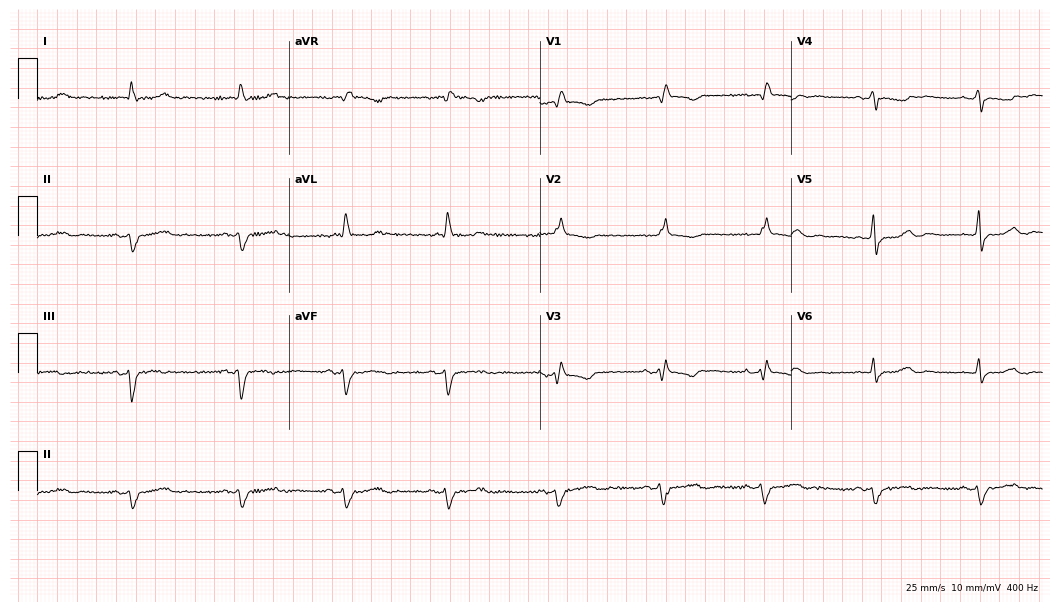
12-lead ECG from a 67-year-old female patient (10.2-second recording at 400 Hz). Shows right bundle branch block.